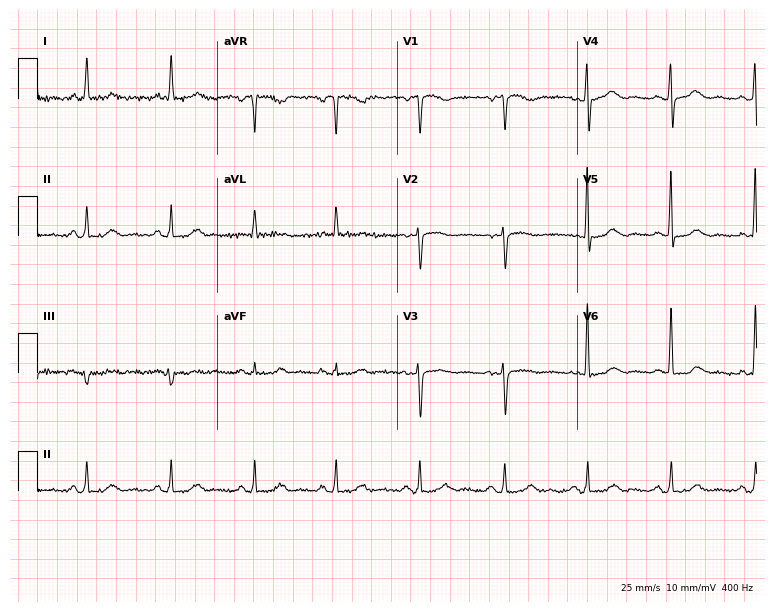
Electrocardiogram (7.3-second recording at 400 Hz), a female, 72 years old. Overall reading on record: normal ECG.